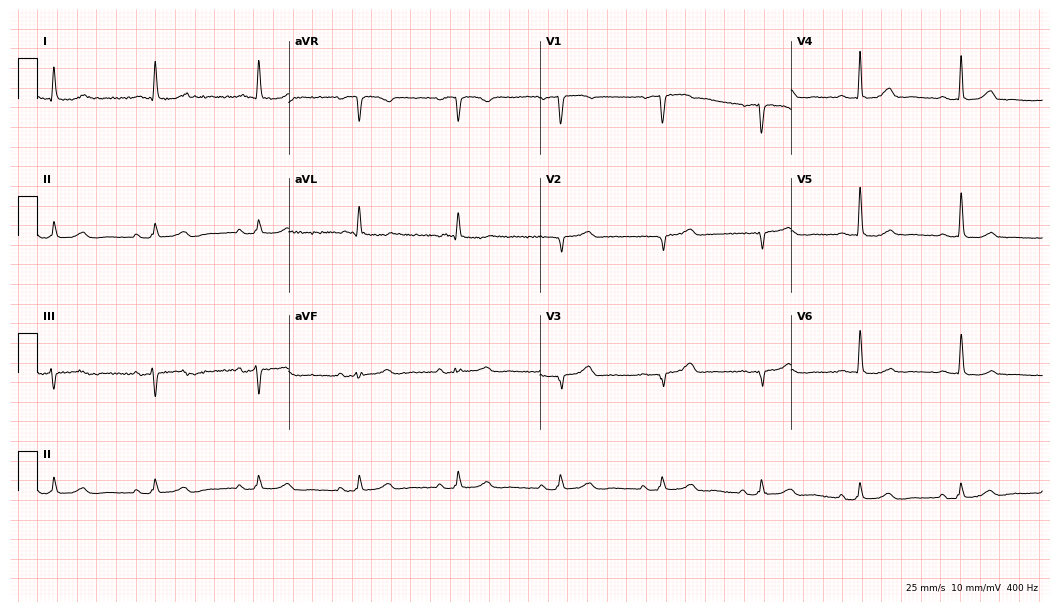
ECG — an 81-year-old female. Labelled as a normal ECG.